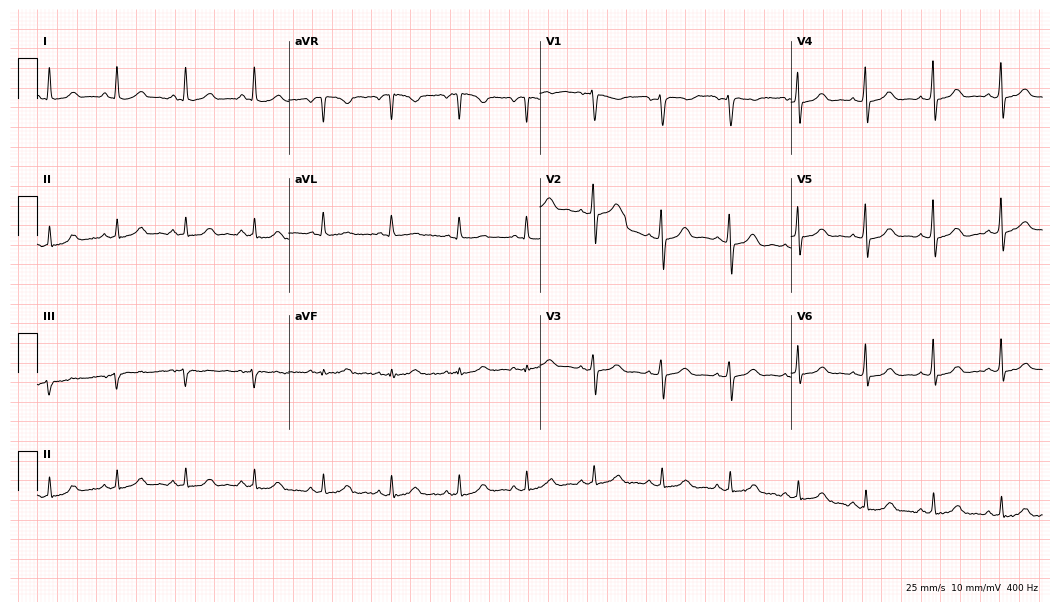
Resting 12-lead electrocardiogram (10.2-second recording at 400 Hz). Patient: a 54-year-old female. Read as a normal ECG.